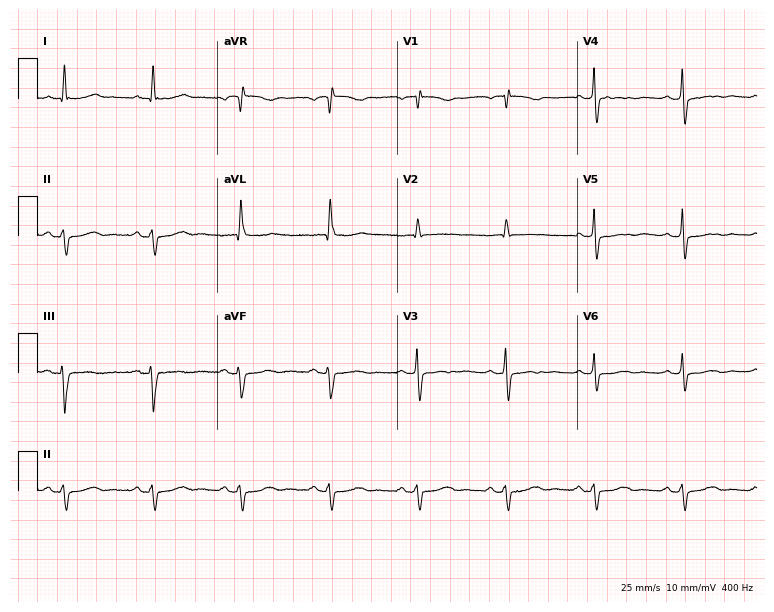
ECG — a 74-year-old female. Screened for six findings — first-degree AV block, right bundle branch block, left bundle branch block, sinus bradycardia, atrial fibrillation, sinus tachycardia — none is recorded.